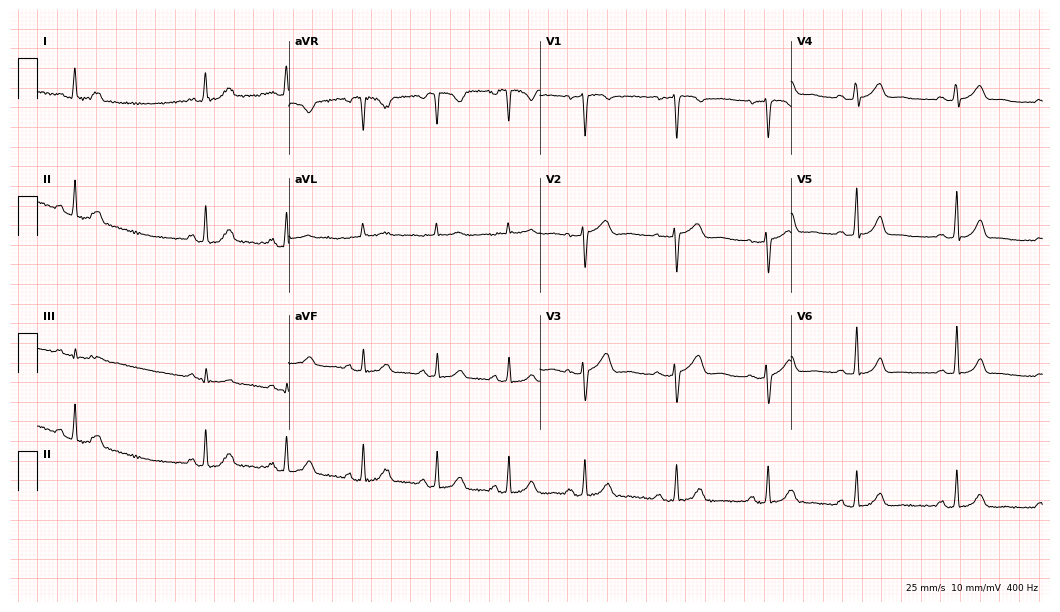
Resting 12-lead electrocardiogram. Patient: a female, 35 years old. Read as a normal ECG.